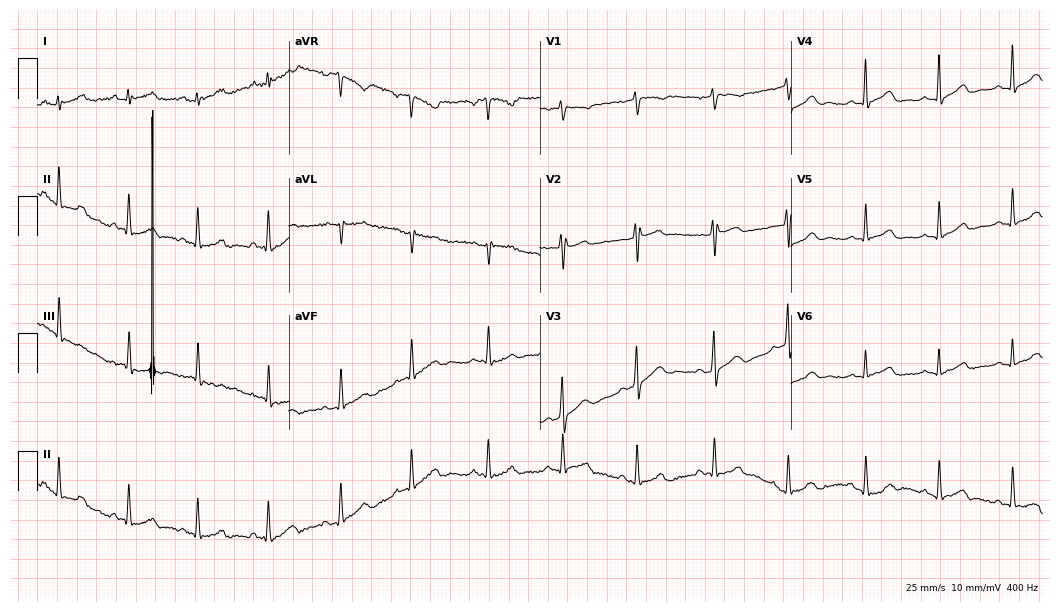
12-lead ECG (10.2-second recording at 400 Hz) from a female patient, 27 years old. Screened for six findings — first-degree AV block, right bundle branch block, left bundle branch block, sinus bradycardia, atrial fibrillation, sinus tachycardia — none is recorded. Findings outside these six are not listed.